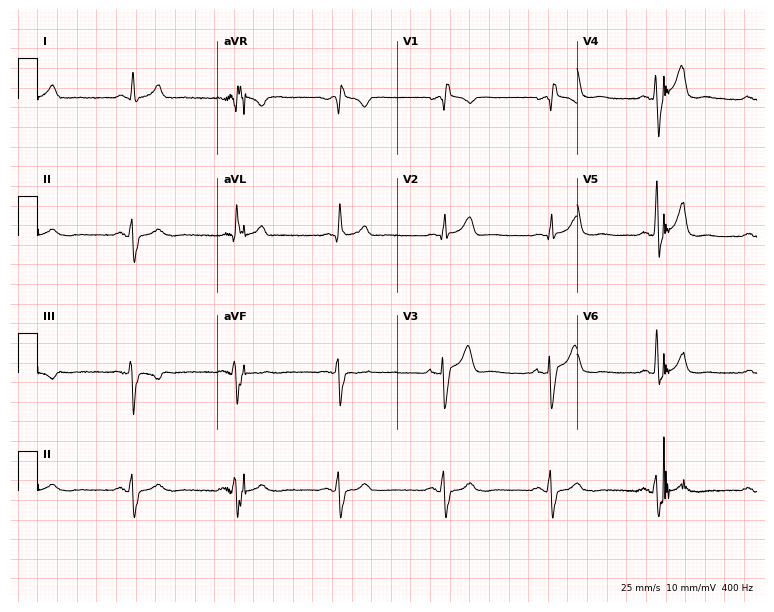
Electrocardiogram (7.3-second recording at 400 Hz), a 63-year-old male. Of the six screened findings (first-degree AV block, right bundle branch block, left bundle branch block, sinus bradycardia, atrial fibrillation, sinus tachycardia), none is recorded.